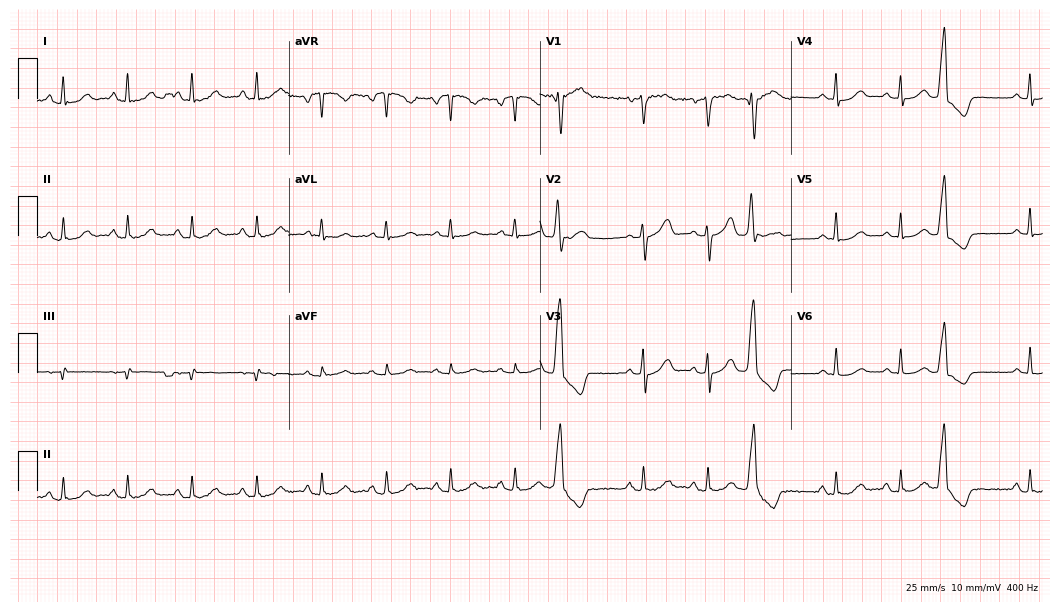
Standard 12-lead ECG recorded from a female patient, 62 years old (10.2-second recording at 400 Hz). None of these six findings is recorded: first-degree AV block, right bundle branch block (RBBB), left bundle branch block (LBBB), sinus bradycardia, atrial fibrillation (AF), sinus tachycardia. Only these six findings were labelled.